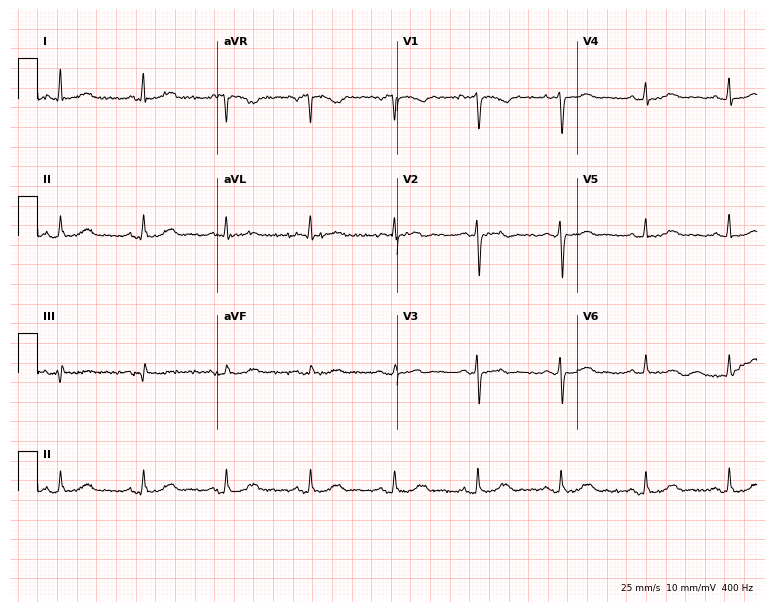
Standard 12-lead ECG recorded from a female patient, 65 years old. Read as a normal ECG.